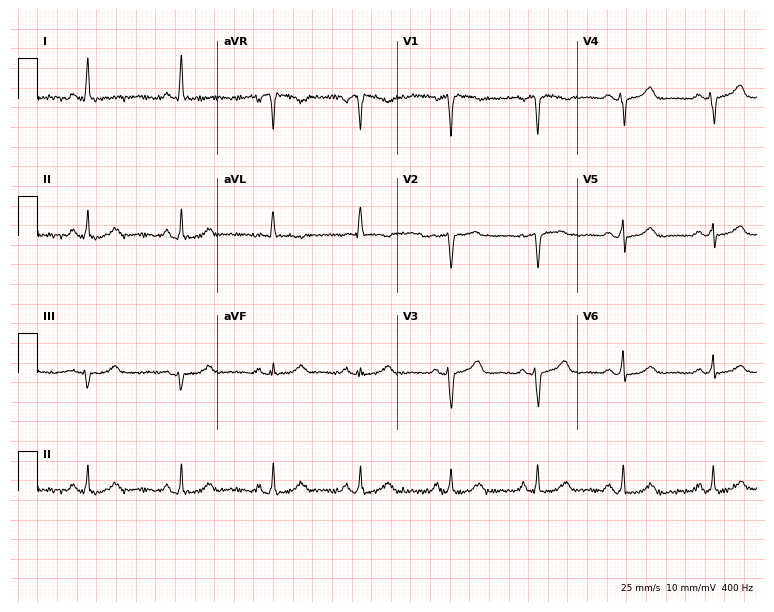
Electrocardiogram (7.3-second recording at 400 Hz), a 55-year-old female. Of the six screened findings (first-degree AV block, right bundle branch block, left bundle branch block, sinus bradycardia, atrial fibrillation, sinus tachycardia), none is recorded.